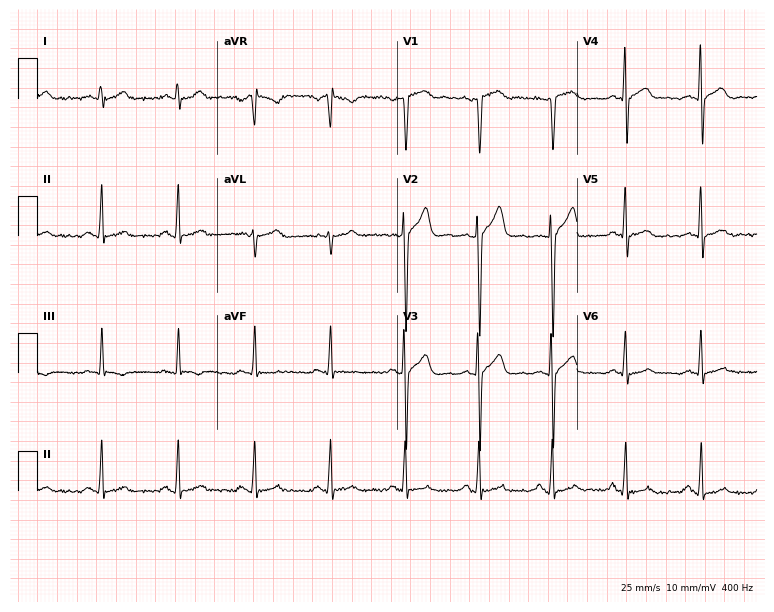
Electrocardiogram (7.3-second recording at 400 Hz), a 34-year-old male patient. Of the six screened findings (first-degree AV block, right bundle branch block, left bundle branch block, sinus bradycardia, atrial fibrillation, sinus tachycardia), none is recorded. Findings outside these six are not listed.